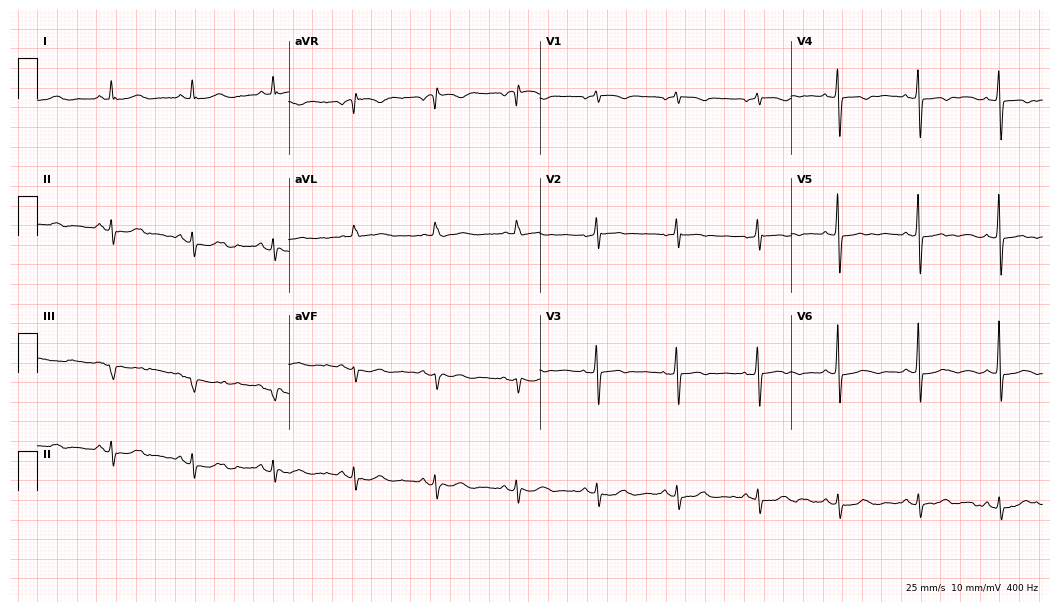
Resting 12-lead electrocardiogram (10.2-second recording at 400 Hz). Patient: a 79-year-old woman. None of these six findings is recorded: first-degree AV block, right bundle branch block (RBBB), left bundle branch block (LBBB), sinus bradycardia, atrial fibrillation (AF), sinus tachycardia. Other findings, if any, are not listed.